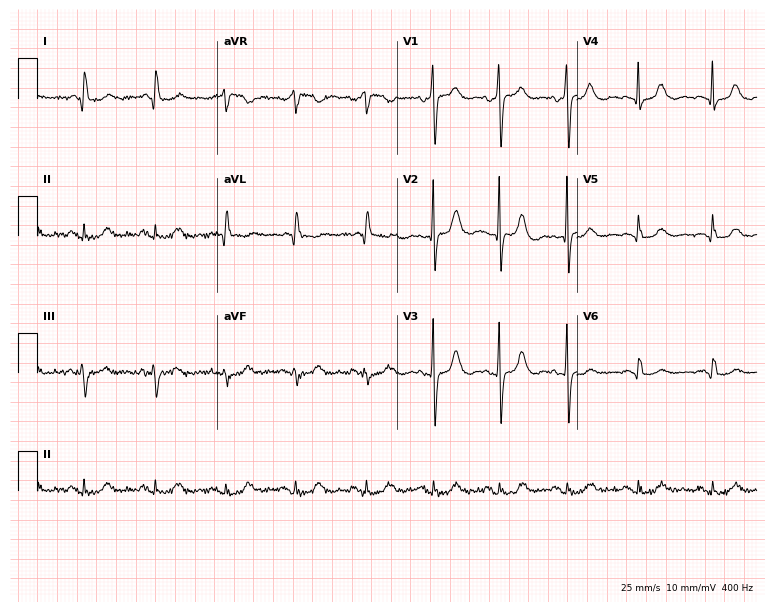
12-lead ECG (7.3-second recording at 400 Hz) from an 82-year-old female. Screened for six findings — first-degree AV block, right bundle branch block, left bundle branch block, sinus bradycardia, atrial fibrillation, sinus tachycardia — none is recorded. Only these six findings were labelled.